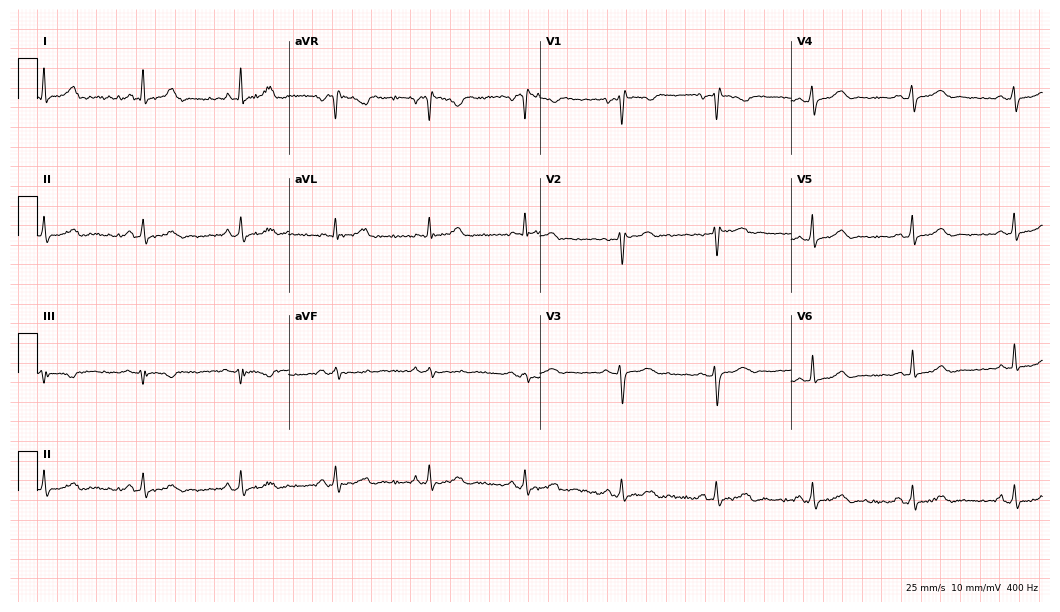
Electrocardiogram (10.2-second recording at 400 Hz), a 44-year-old woman. Overall reading on record: normal ECG.